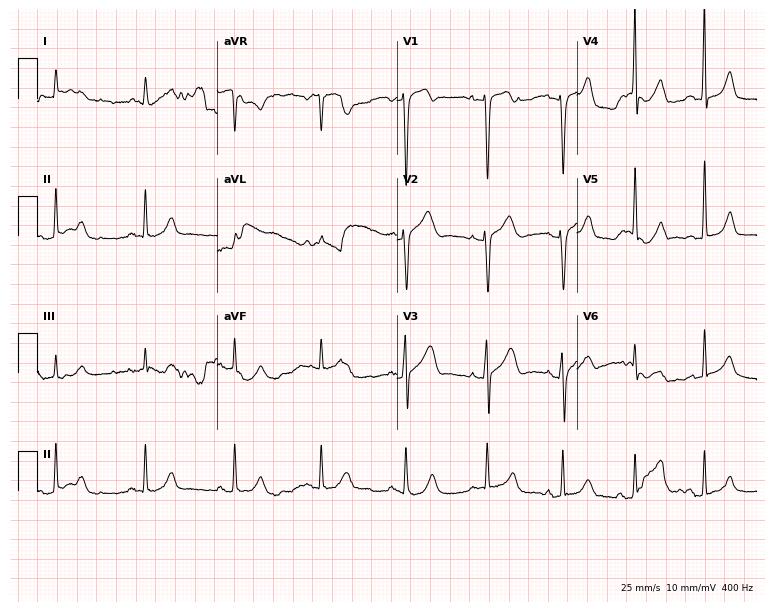
12-lead ECG (7.3-second recording at 400 Hz) from a male patient, 59 years old. Labelled as a normal ECG.